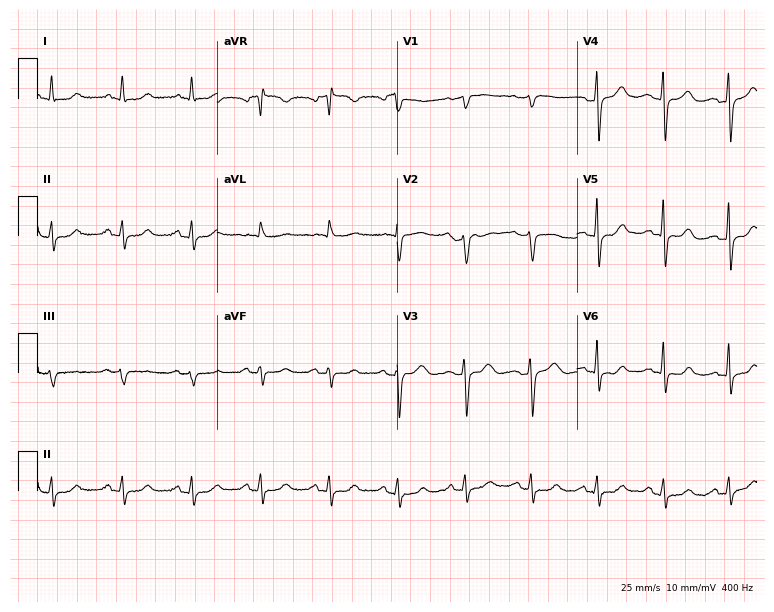
Electrocardiogram (7.3-second recording at 400 Hz), a 53-year-old woman. Of the six screened findings (first-degree AV block, right bundle branch block, left bundle branch block, sinus bradycardia, atrial fibrillation, sinus tachycardia), none is recorded.